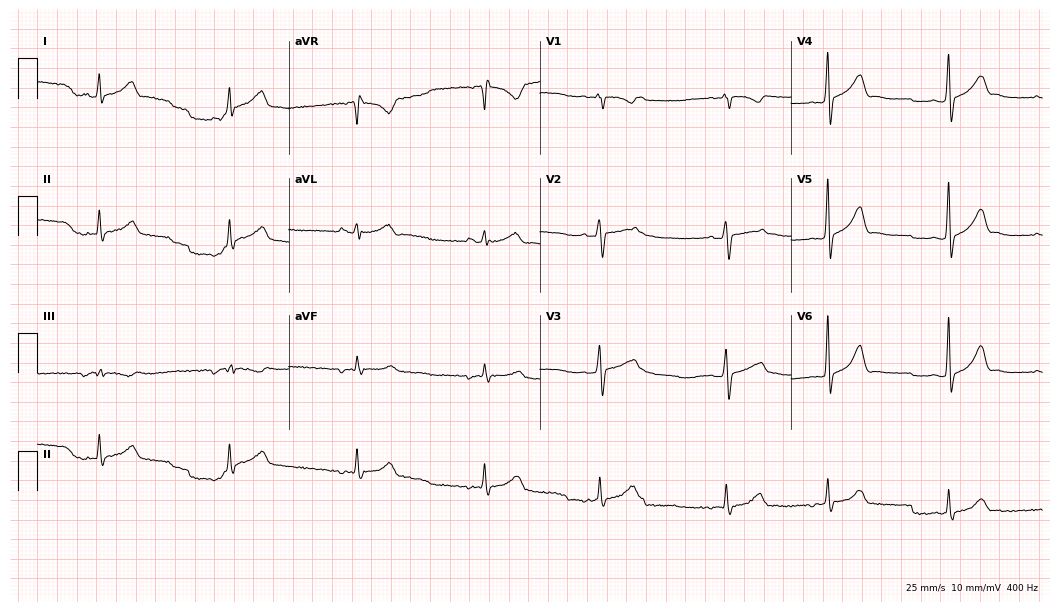
12-lead ECG from a 23-year-old female. Recorded interpretation: within normal limits.